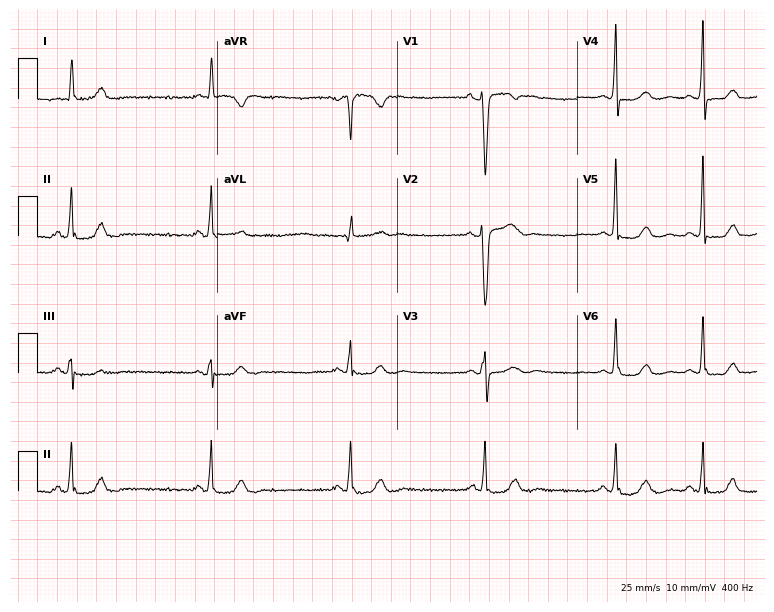
ECG — a male patient, 59 years old. Findings include sinus bradycardia (a sinus rate of 50 beats per minute or less).